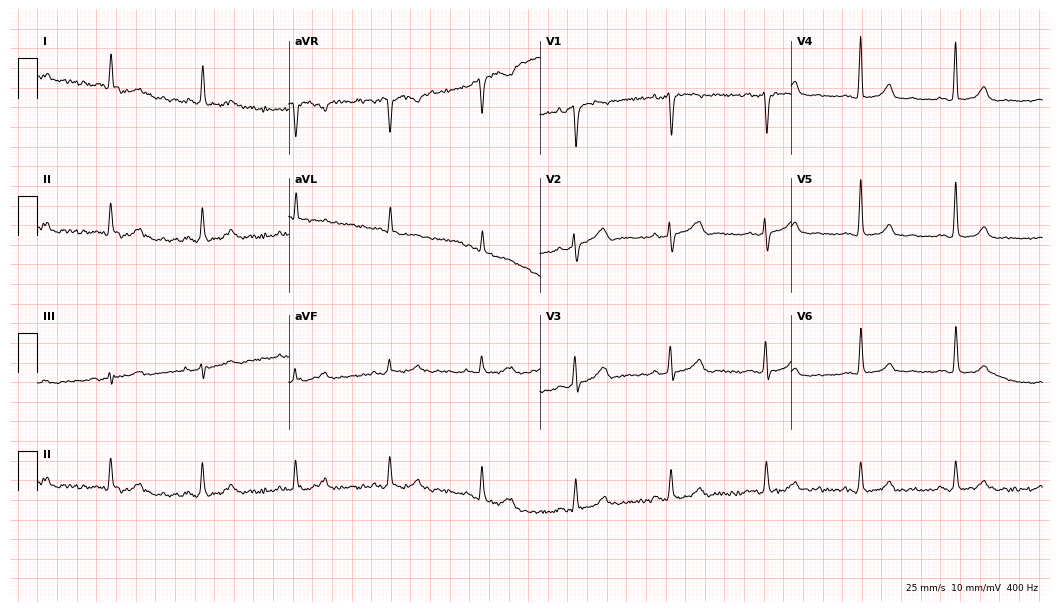
ECG — a female, 74 years old. Screened for six findings — first-degree AV block, right bundle branch block (RBBB), left bundle branch block (LBBB), sinus bradycardia, atrial fibrillation (AF), sinus tachycardia — none is recorded.